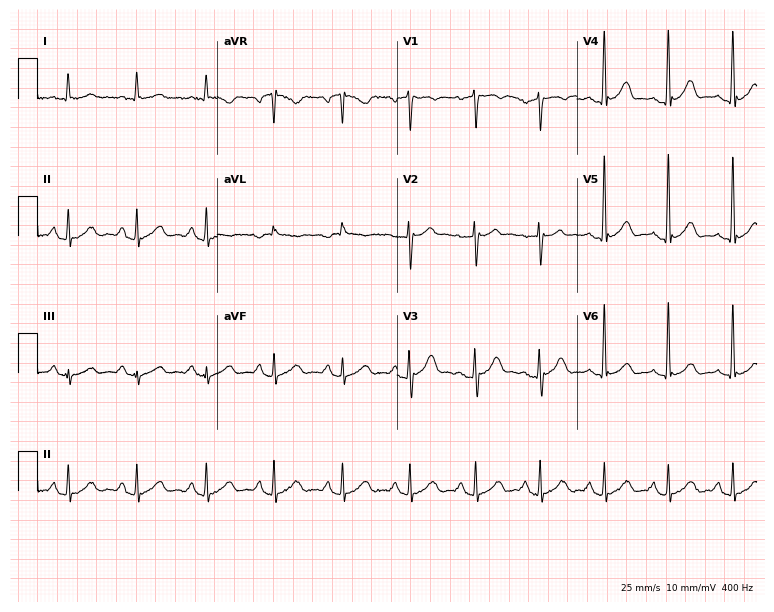
Electrocardiogram (7.3-second recording at 400 Hz), a 55-year-old male patient. Overall reading on record: normal ECG.